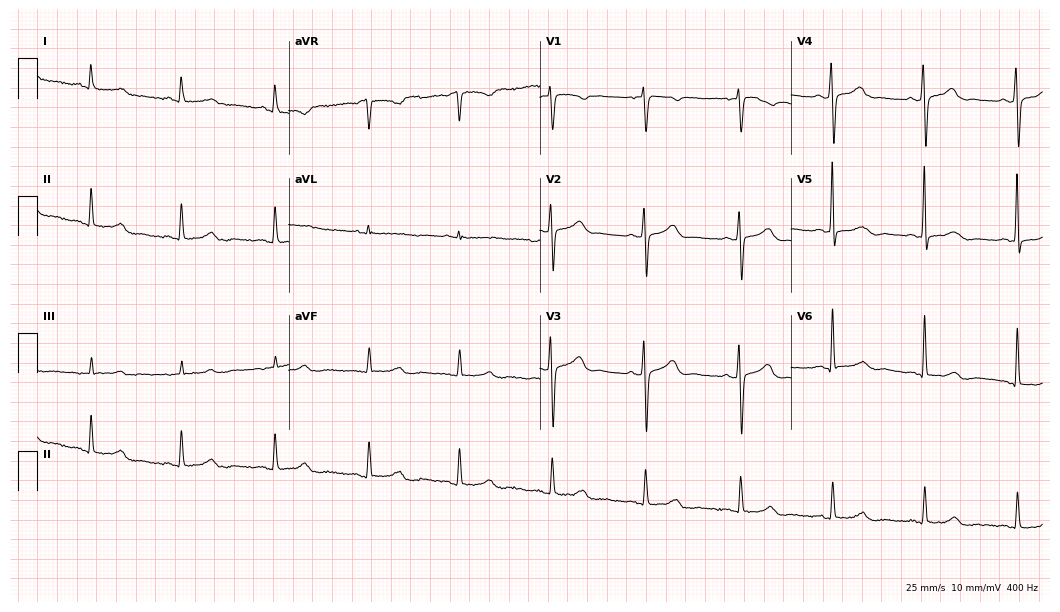
Standard 12-lead ECG recorded from a female patient, 59 years old. Read as a normal ECG.